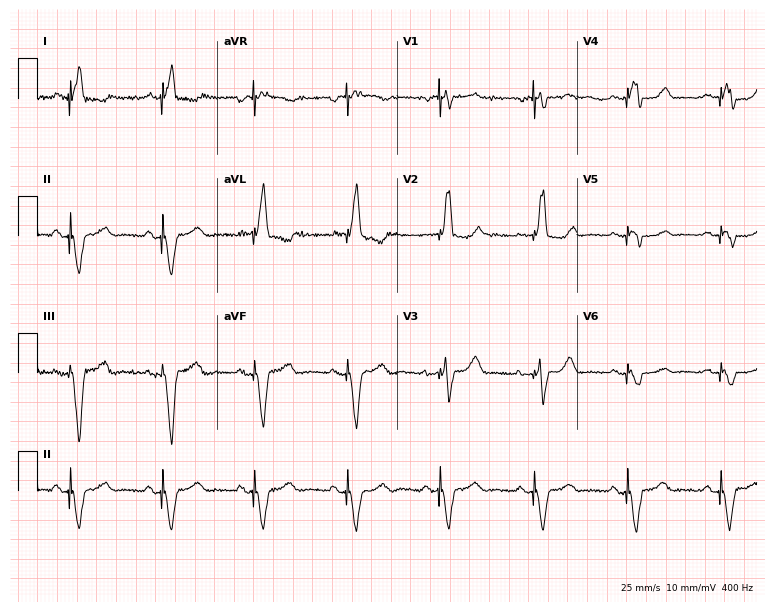
Electrocardiogram (7.3-second recording at 400 Hz), an 85-year-old female patient. Of the six screened findings (first-degree AV block, right bundle branch block (RBBB), left bundle branch block (LBBB), sinus bradycardia, atrial fibrillation (AF), sinus tachycardia), none is recorded.